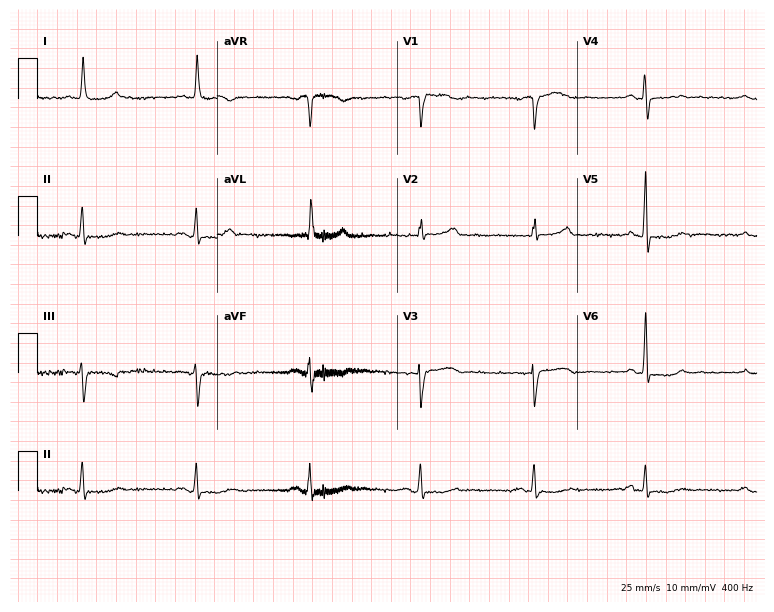
12-lead ECG (7.3-second recording at 400 Hz) from a female, 84 years old. Screened for six findings — first-degree AV block, right bundle branch block, left bundle branch block, sinus bradycardia, atrial fibrillation, sinus tachycardia — none is recorded. Findings outside these six are not listed.